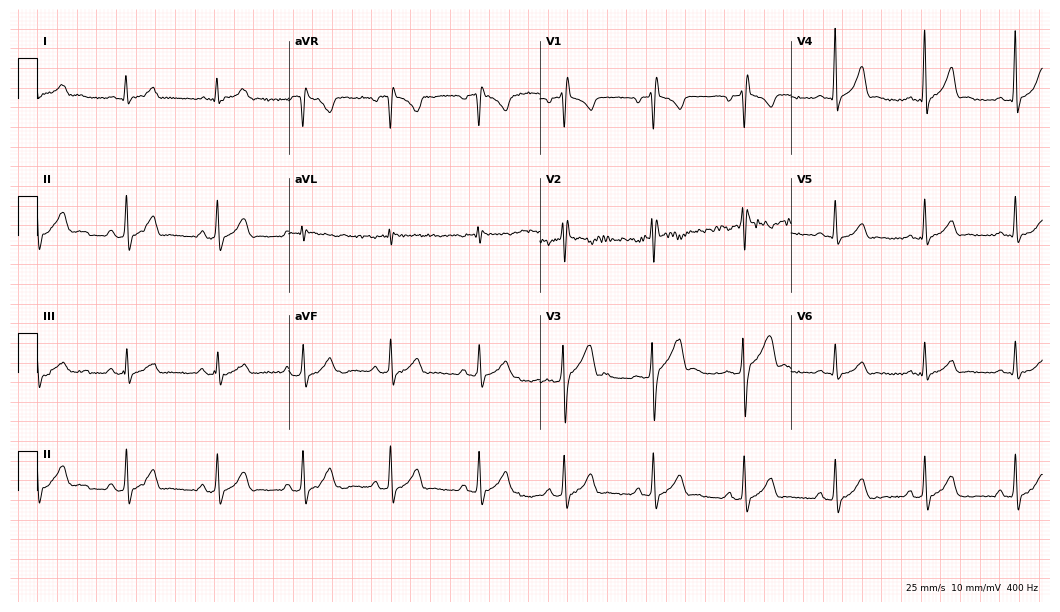
Resting 12-lead electrocardiogram (10.2-second recording at 400 Hz). Patient: a male, 26 years old. The tracing shows right bundle branch block.